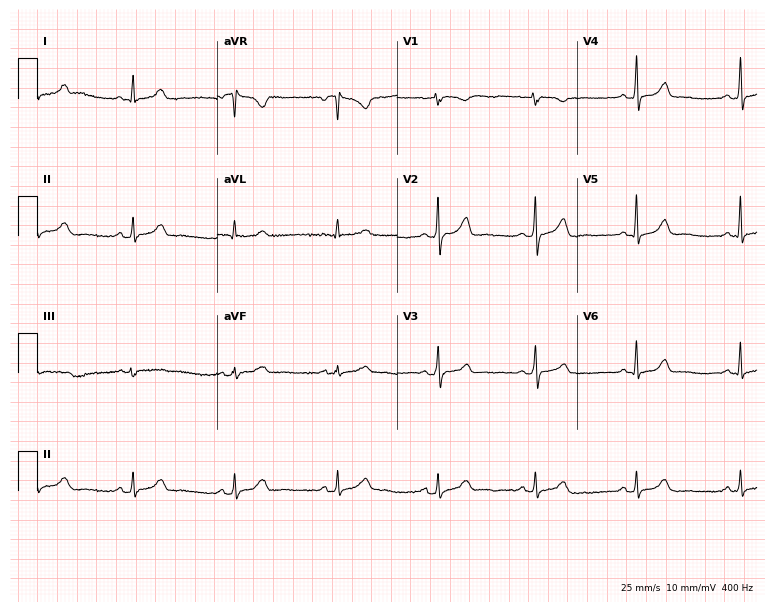
Standard 12-lead ECG recorded from a female, 52 years old (7.3-second recording at 400 Hz). Read as a normal ECG.